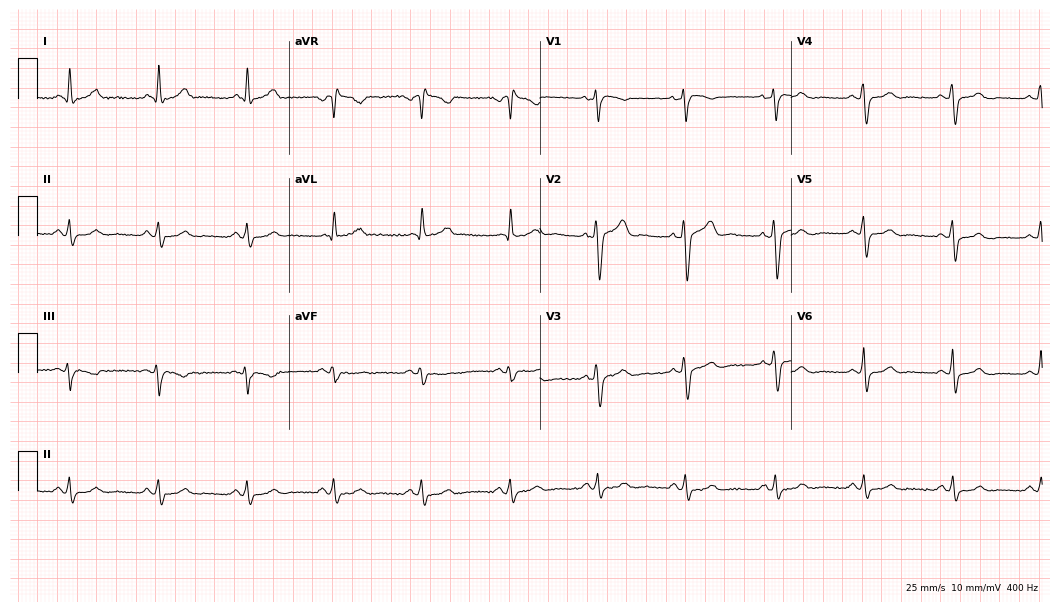
12-lead ECG from a man, 60 years old (10.2-second recording at 400 Hz). No first-degree AV block, right bundle branch block (RBBB), left bundle branch block (LBBB), sinus bradycardia, atrial fibrillation (AF) or sinus tachycardia recorded for this tracing.